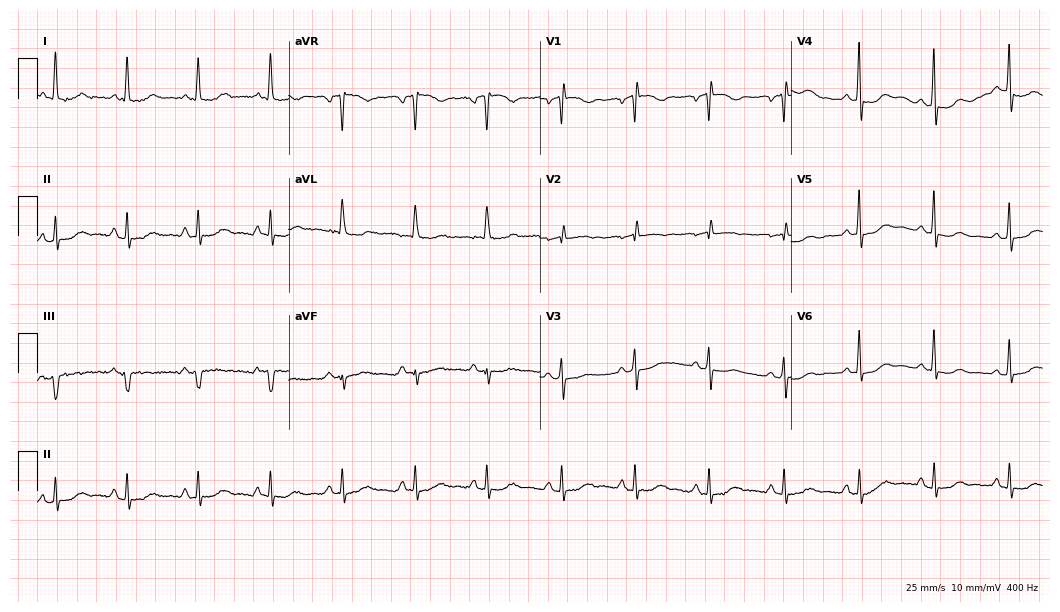
Electrocardiogram (10.2-second recording at 400 Hz), a woman, 78 years old. Of the six screened findings (first-degree AV block, right bundle branch block, left bundle branch block, sinus bradycardia, atrial fibrillation, sinus tachycardia), none is recorded. Other findings, if any, are not listed.